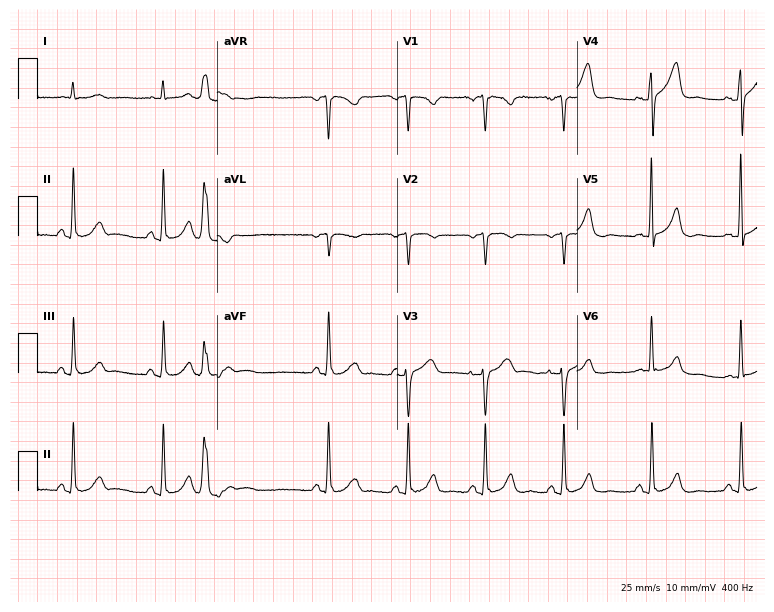
ECG (7.3-second recording at 400 Hz) — a 74-year-old male patient. Screened for six findings — first-degree AV block, right bundle branch block, left bundle branch block, sinus bradycardia, atrial fibrillation, sinus tachycardia — none is recorded. Only these six findings were labelled.